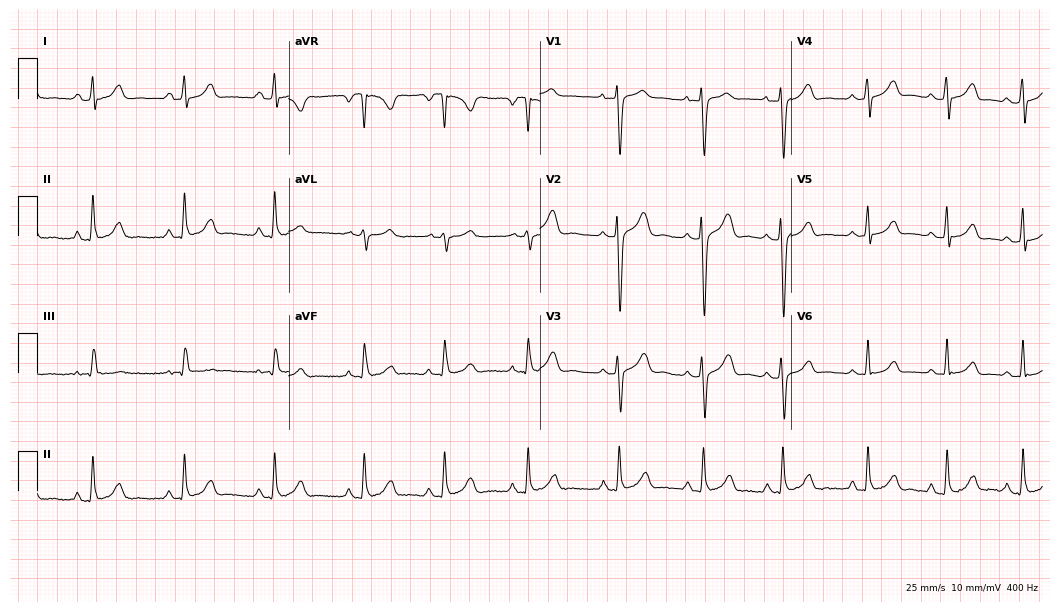
ECG — a female, 17 years old. Labelled as a normal ECG.